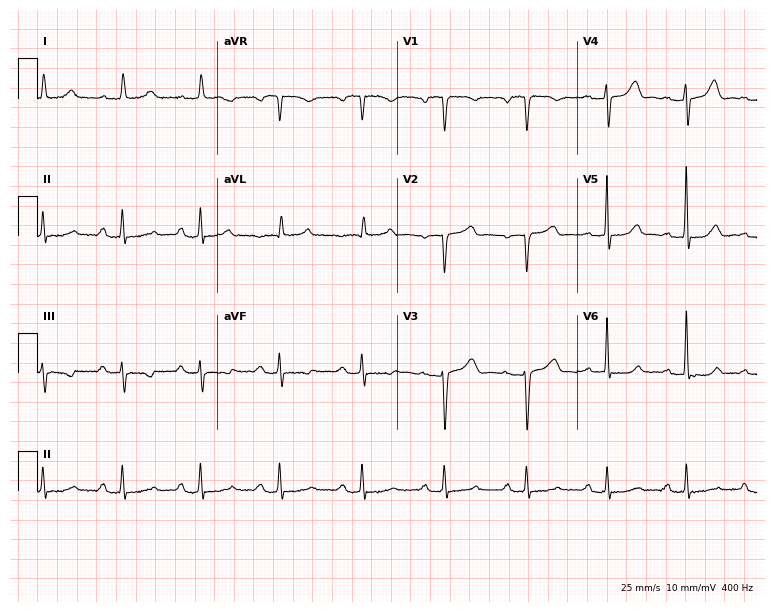
Resting 12-lead electrocardiogram. Patient: a 70-year-old female. None of these six findings is recorded: first-degree AV block, right bundle branch block, left bundle branch block, sinus bradycardia, atrial fibrillation, sinus tachycardia.